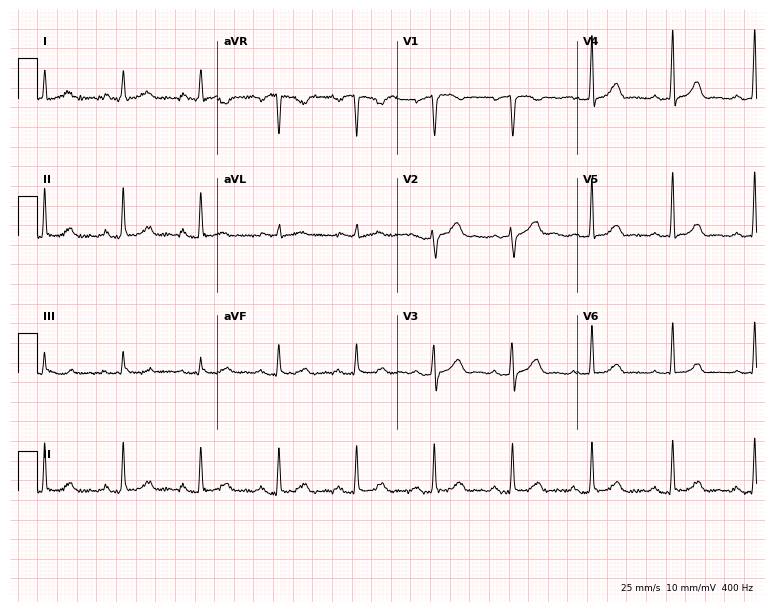
Resting 12-lead electrocardiogram (7.3-second recording at 400 Hz). Patient: a 62-year-old woman. None of these six findings is recorded: first-degree AV block, right bundle branch block, left bundle branch block, sinus bradycardia, atrial fibrillation, sinus tachycardia. Findings outside these six are not listed.